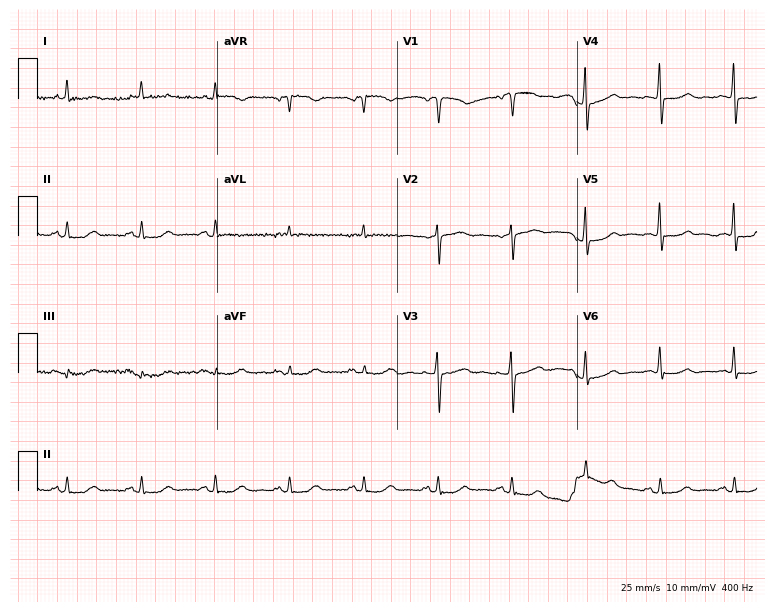
12-lead ECG (7.3-second recording at 400 Hz) from a 66-year-old woman. Screened for six findings — first-degree AV block, right bundle branch block, left bundle branch block, sinus bradycardia, atrial fibrillation, sinus tachycardia — none is recorded.